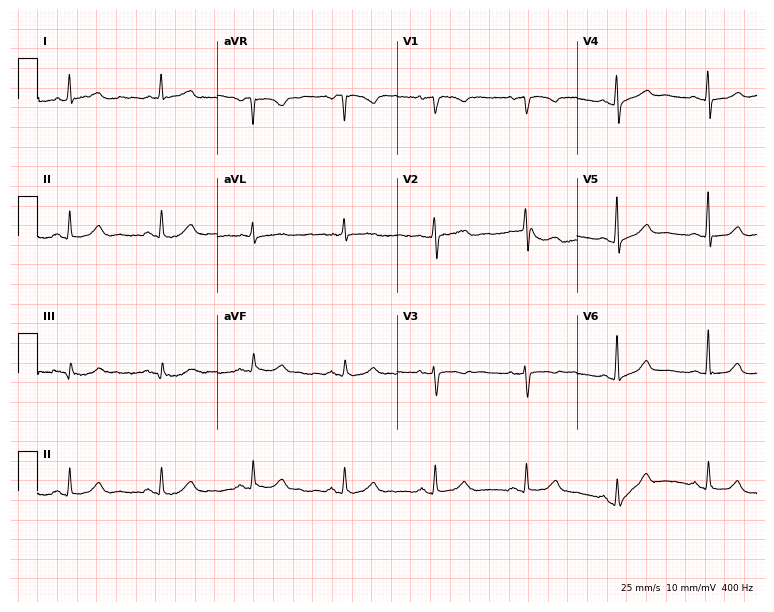
12-lead ECG from a 77-year-old woman. Recorded interpretation: within normal limits.